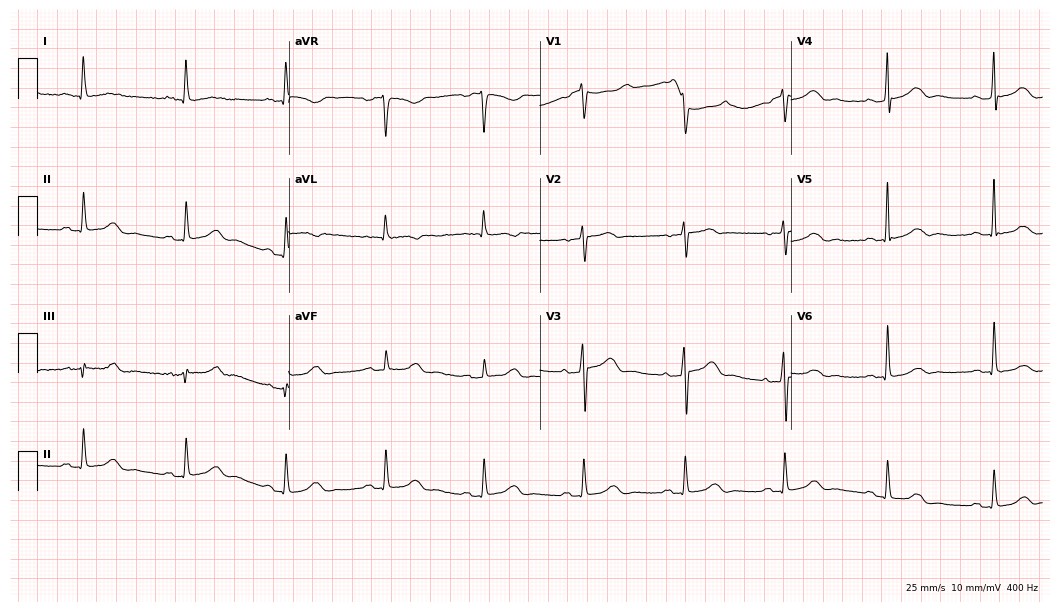
Resting 12-lead electrocardiogram. Patient: a female, 67 years old. None of these six findings is recorded: first-degree AV block, right bundle branch block (RBBB), left bundle branch block (LBBB), sinus bradycardia, atrial fibrillation (AF), sinus tachycardia. Other findings, if any, are not listed.